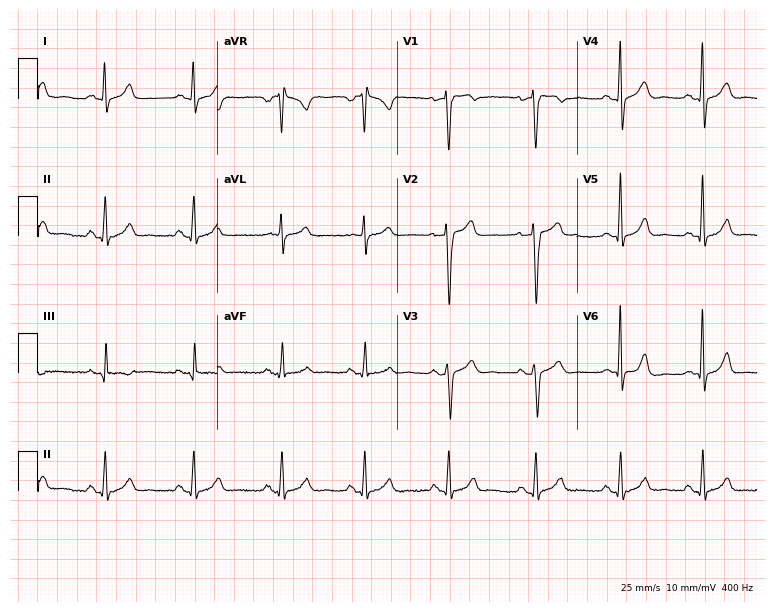
ECG — a 27-year-old man. Screened for six findings — first-degree AV block, right bundle branch block (RBBB), left bundle branch block (LBBB), sinus bradycardia, atrial fibrillation (AF), sinus tachycardia — none is recorded.